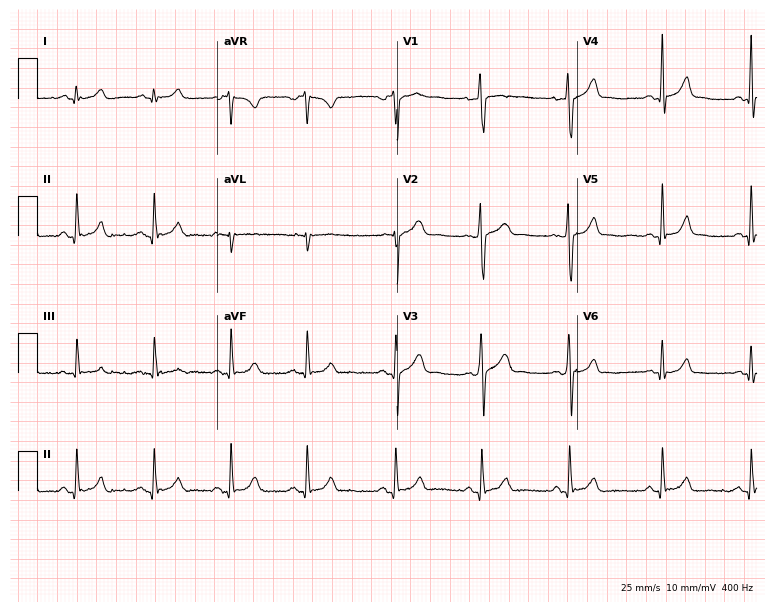
Electrocardiogram, a man, 27 years old. Overall reading on record: normal ECG.